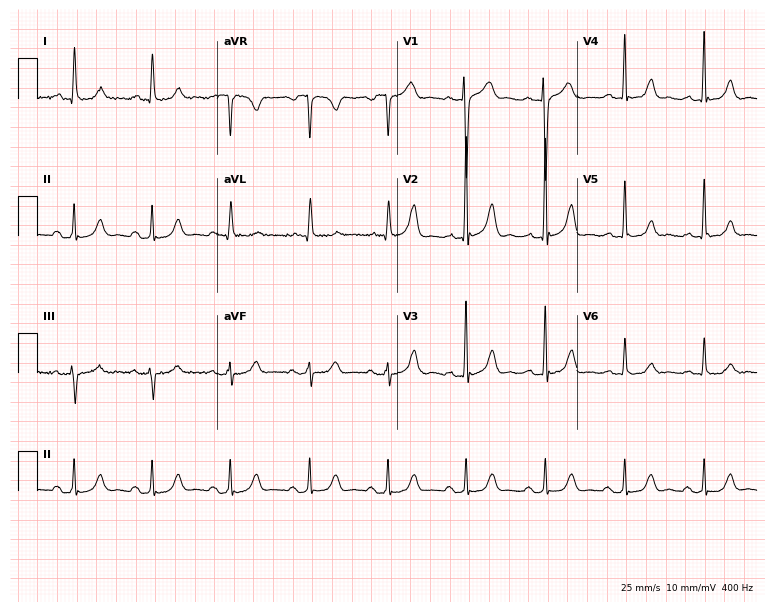
Electrocardiogram, a 78-year-old male patient. Of the six screened findings (first-degree AV block, right bundle branch block, left bundle branch block, sinus bradycardia, atrial fibrillation, sinus tachycardia), none is recorded. Findings outside these six are not listed.